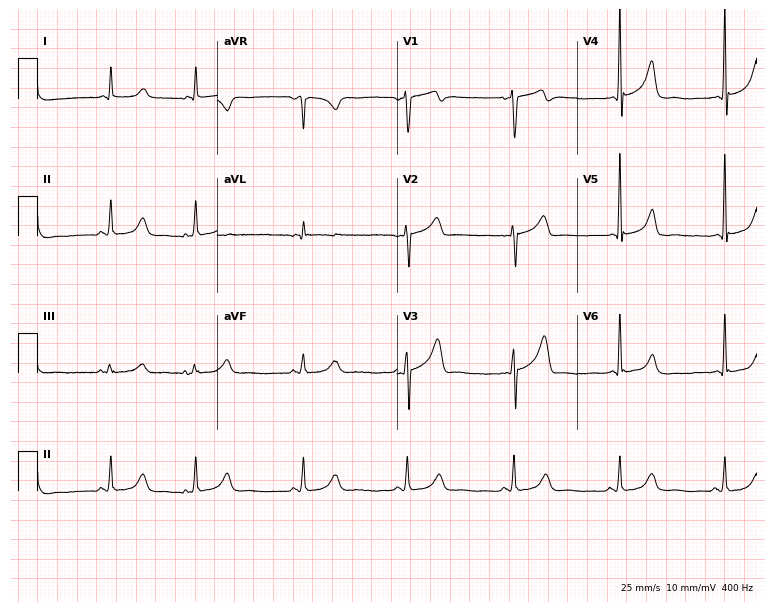
ECG (7.3-second recording at 400 Hz) — a man, 77 years old. Screened for six findings — first-degree AV block, right bundle branch block, left bundle branch block, sinus bradycardia, atrial fibrillation, sinus tachycardia — none is recorded.